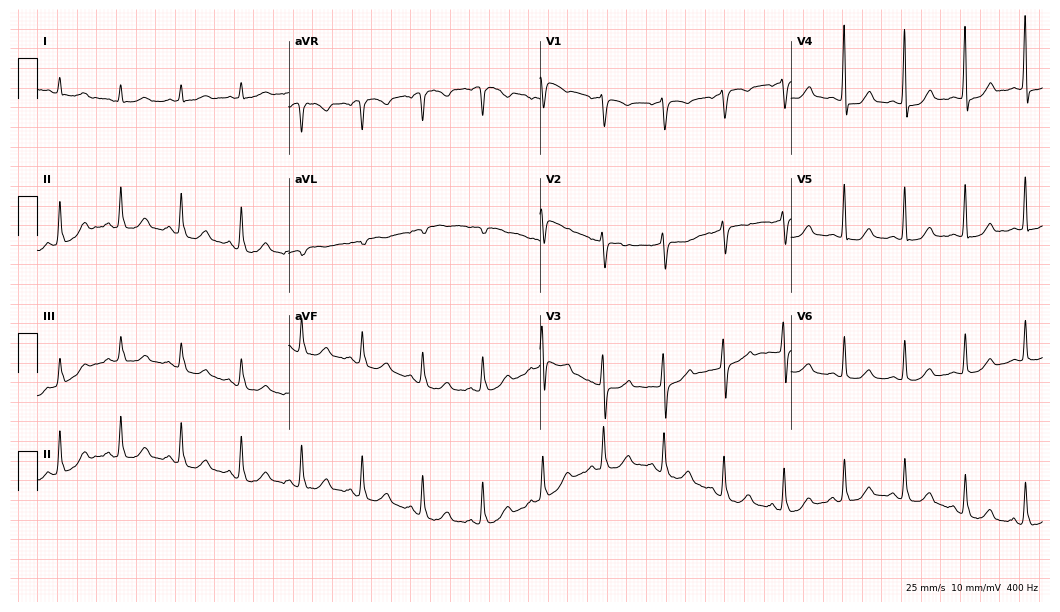
Resting 12-lead electrocardiogram. Patient: a 66-year-old female. Read as a normal ECG.